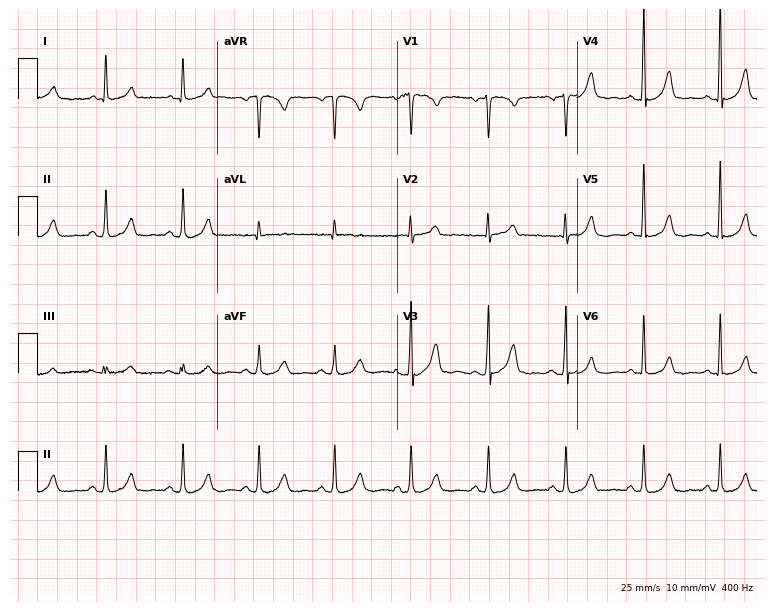
ECG — a 53-year-old female. Labelled as a normal ECG.